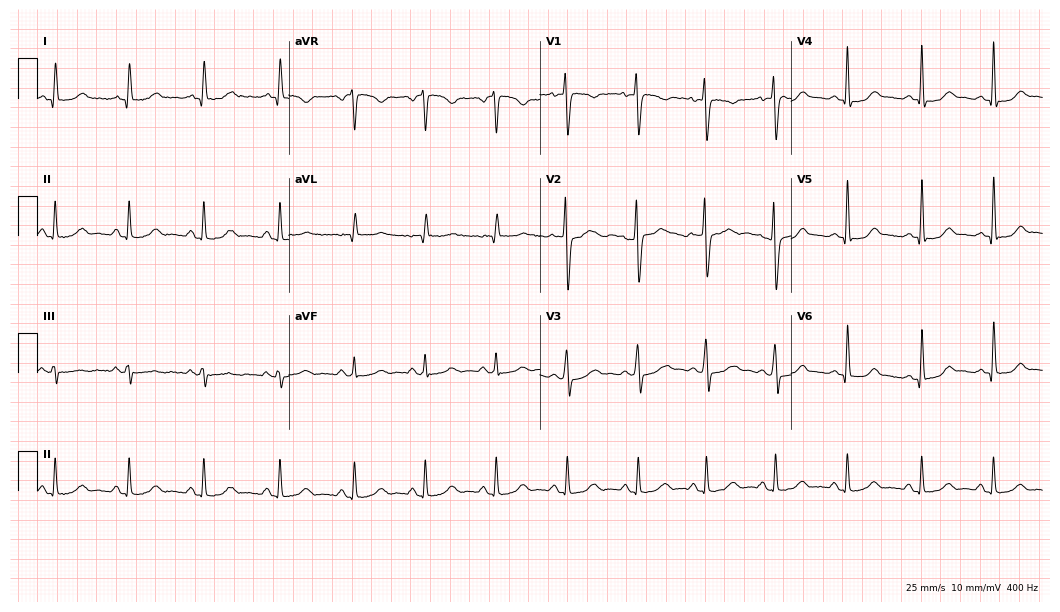
12-lead ECG from a woman, 39 years old. Labelled as a normal ECG.